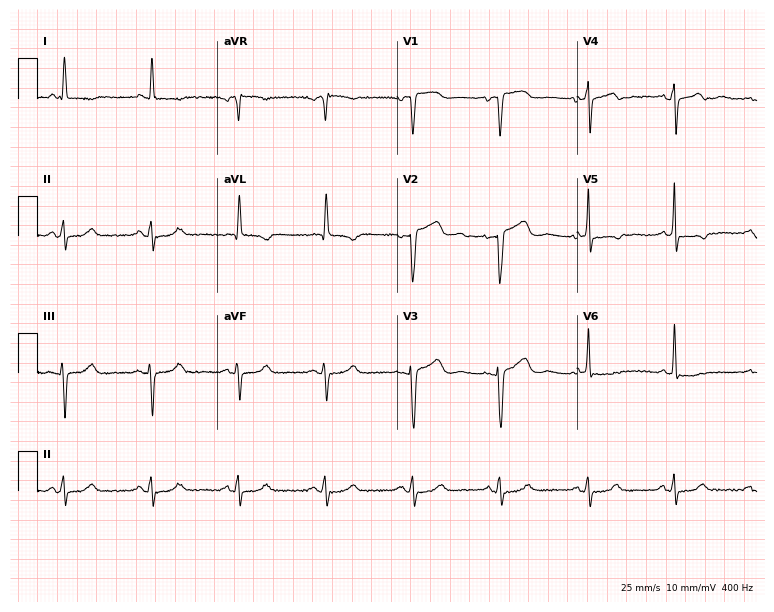
Resting 12-lead electrocardiogram. Patient: a 75-year-old male. None of these six findings is recorded: first-degree AV block, right bundle branch block, left bundle branch block, sinus bradycardia, atrial fibrillation, sinus tachycardia.